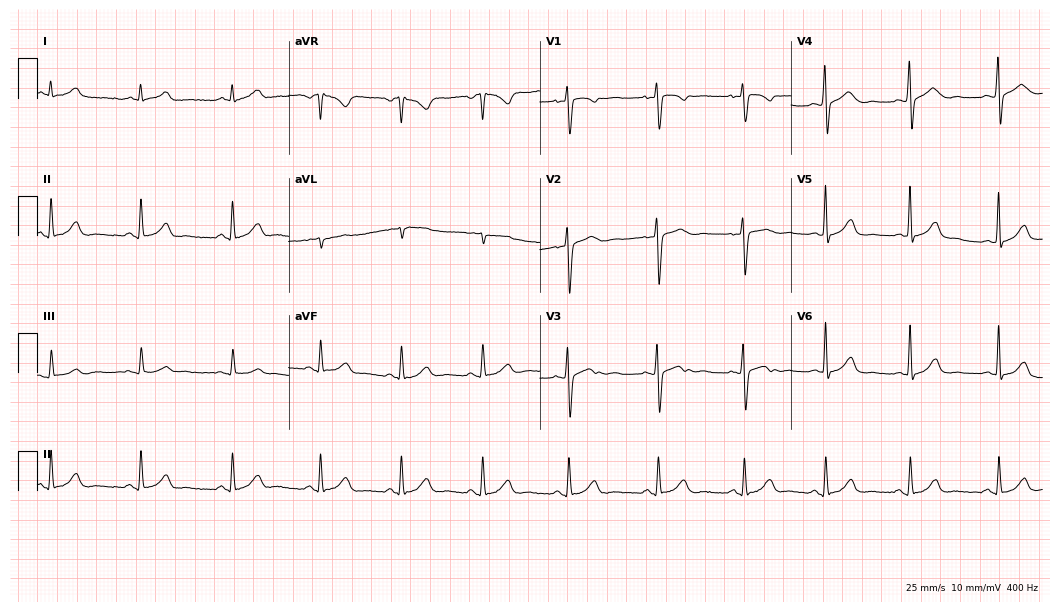
Resting 12-lead electrocardiogram. Patient: a female, 31 years old. Read as a normal ECG.